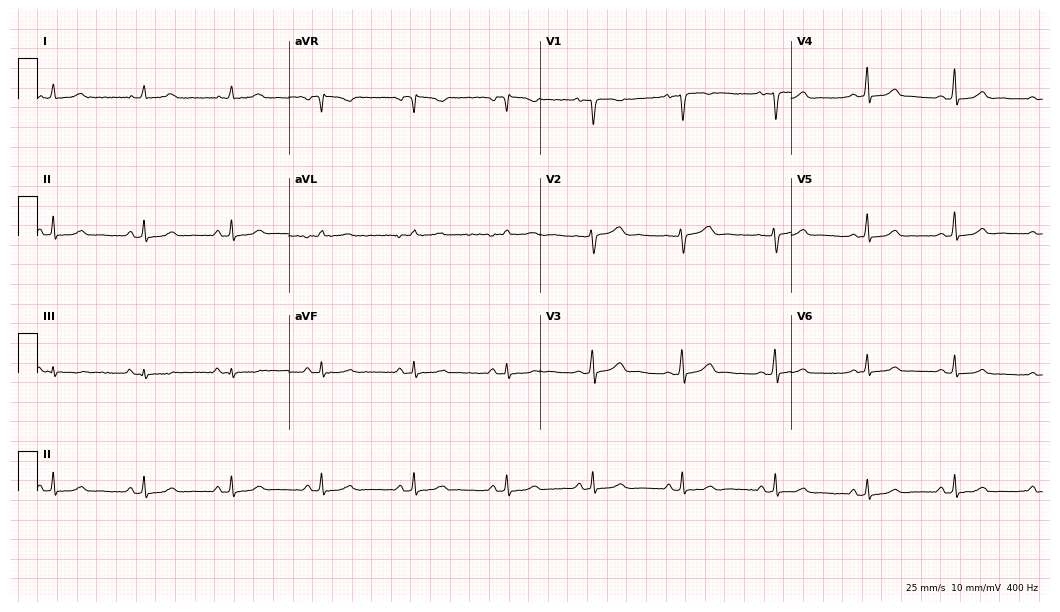
Electrocardiogram (10.2-second recording at 400 Hz), a female, 35 years old. Of the six screened findings (first-degree AV block, right bundle branch block (RBBB), left bundle branch block (LBBB), sinus bradycardia, atrial fibrillation (AF), sinus tachycardia), none is recorded.